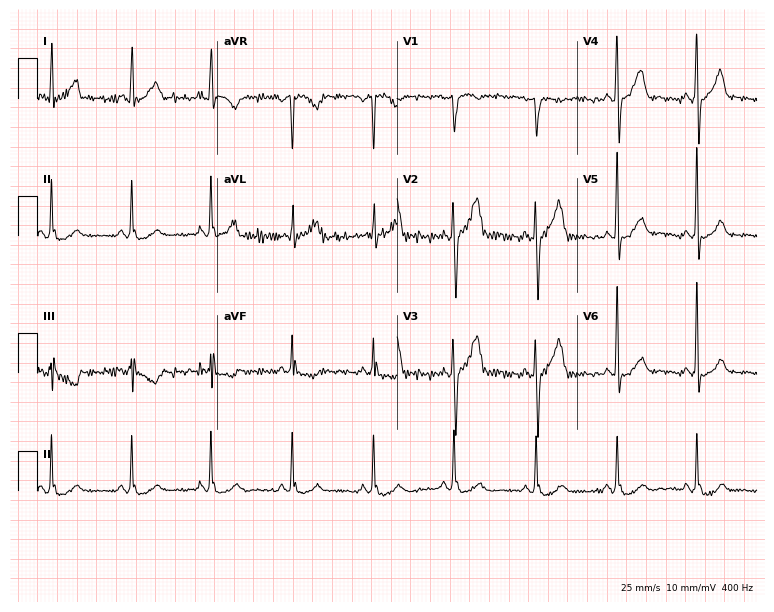
12-lead ECG from a 39-year-old man. Screened for six findings — first-degree AV block, right bundle branch block (RBBB), left bundle branch block (LBBB), sinus bradycardia, atrial fibrillation (AF), sinus tachycardia — none is recorded. Other findings, if any, are not listed.